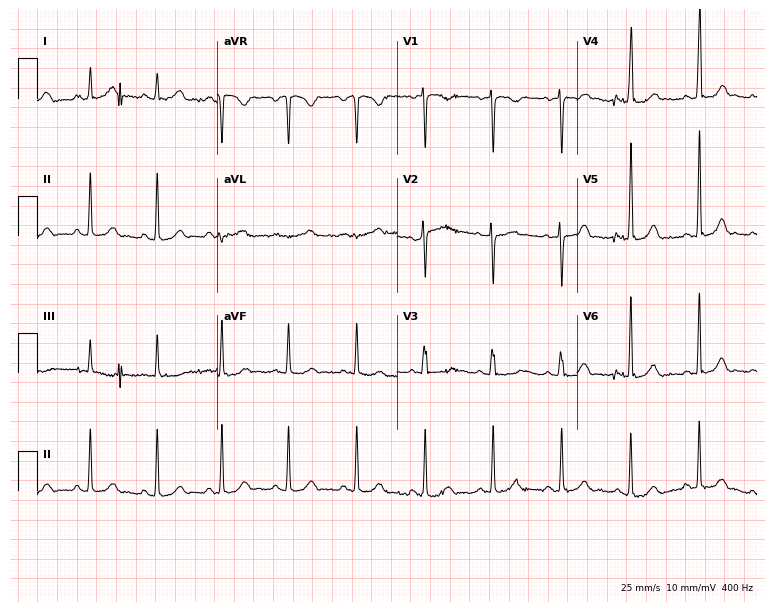
12-lead ECG from a 29-year-old female. Labelled as a normal ECG.